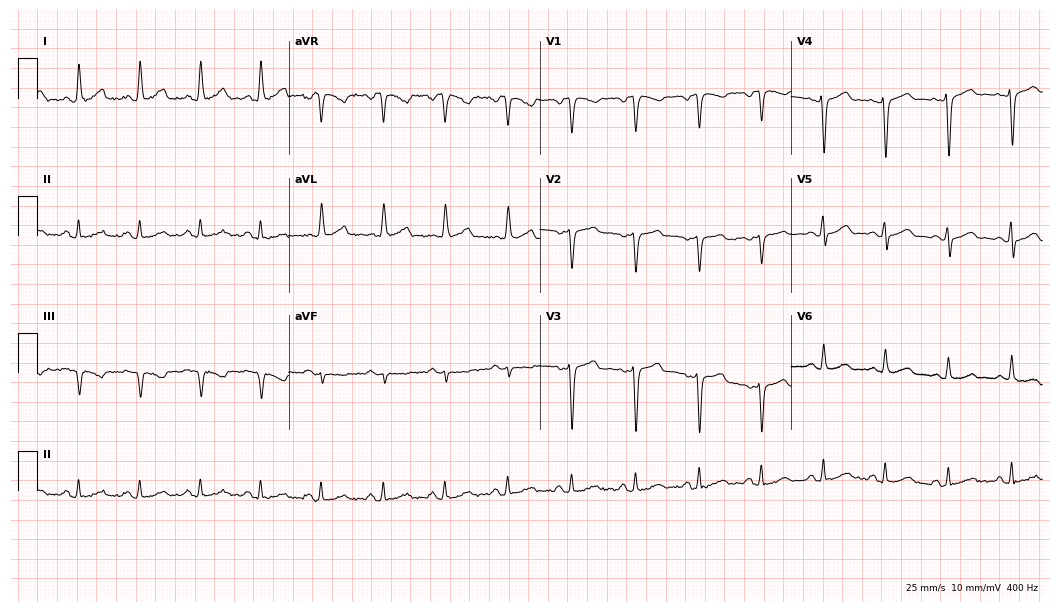
Resting 12-lead electrocardiogram (10.2-second recording at 400 Hz). Patient: a 46-year-old woman. None of these six findings is recorded: first-degree AV block, right bundle branch block, left bundle branch block, sinus bradycardia, atrial fibrillation, sinus tachycardia.